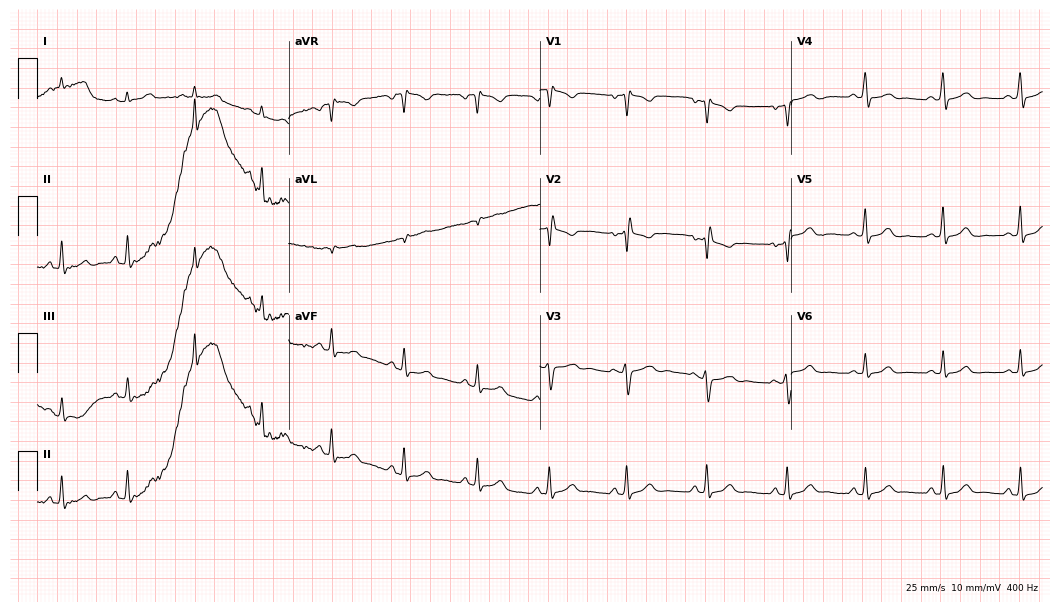
12-lead ECG from a female patient, 29 years old. Screened for six findings — first-degree AV block, right bundle branch block, left bundle branch block, sinus bradycardia, atrial fibrillation, sinus tachycardia — none is recorded.